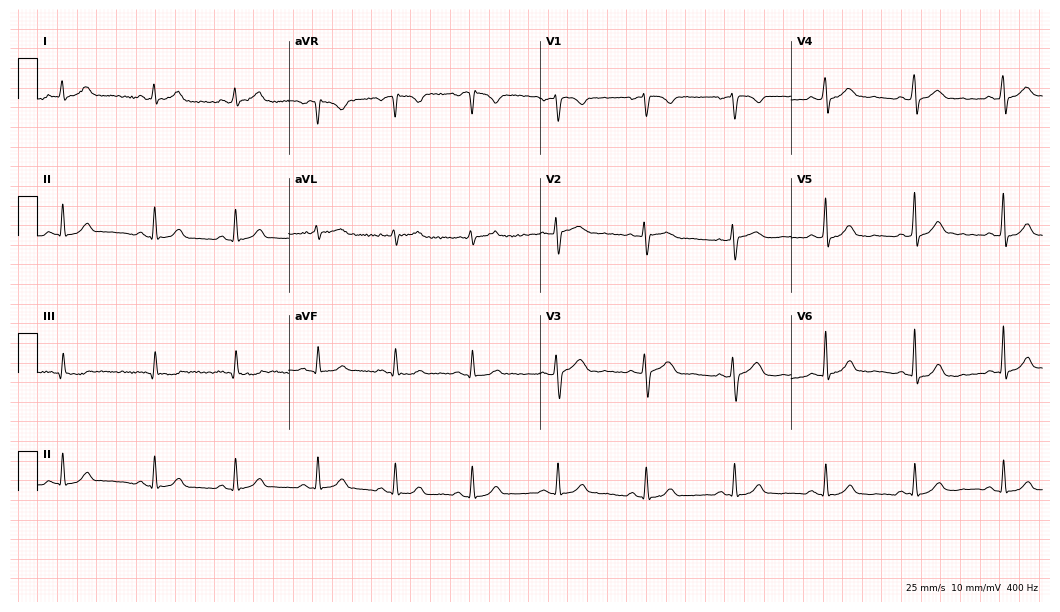
Standard 12-lead ECG recorded from a 35-year-old female patient. Read as a normal ECG.